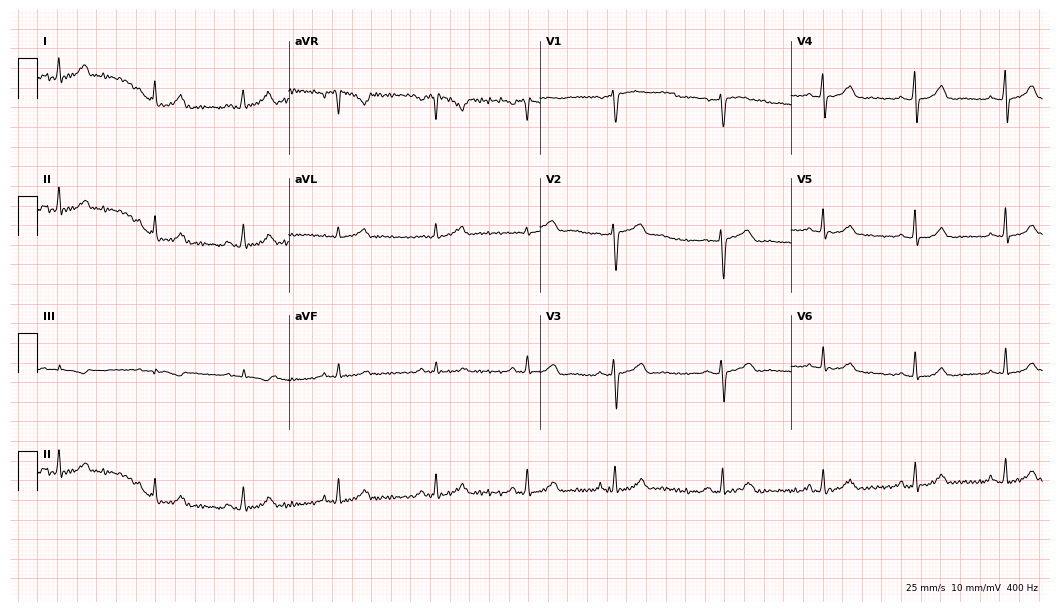
12-lead ECG from a female patient, 48 years old. No first-degree AV block, right bundle branch block, left bundle branch block, sinus bradycardia, atrial fibrillation or sinus tachycardia recorded for this tracing. Other findings, if any, are not listed.